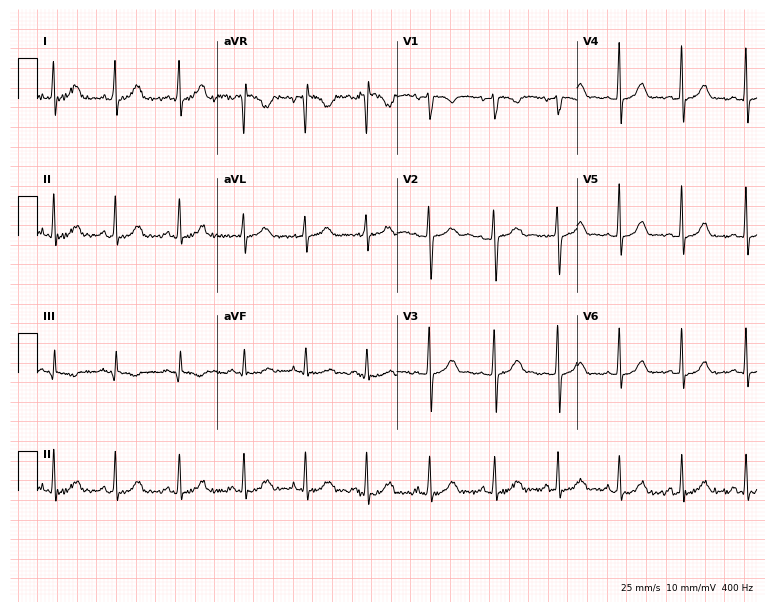
12-lead ECG from a 21-year-old woman (7.3-second recording at 400 Hz). Recorded interpretation: within normal limits.